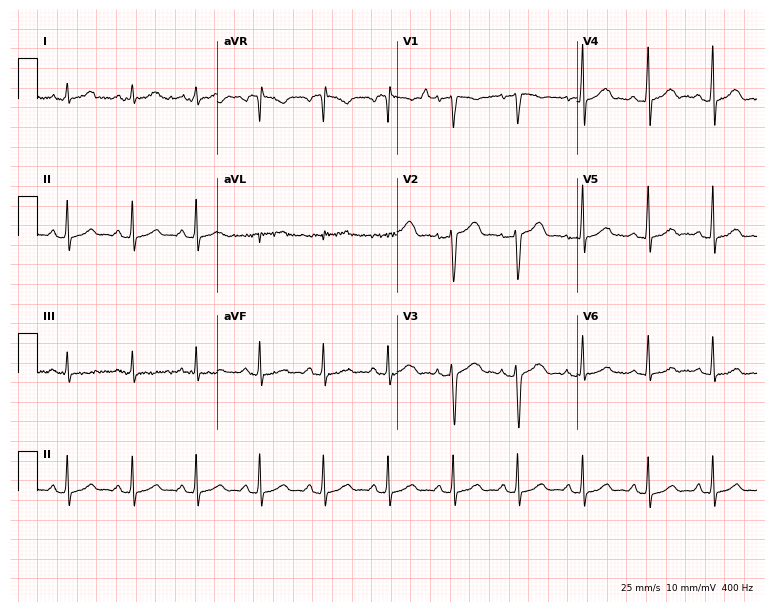
12-lead ECG from a female patient, 32 years old. Labelled as a normal ECG.